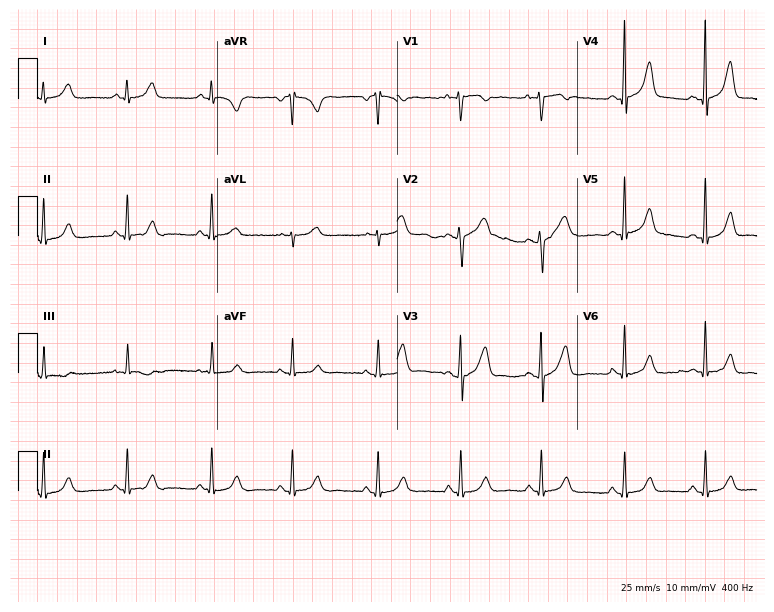
ECG — a 48-year-old woman. Screened for six findings — first-degree AV block, right bundle branch block (RBBB), left bundle branch block (LBBB), sinus bradycardia, atrial fibrillation (AF), sinus tachycardia — none is recorded. Findings outside these six are not listed.